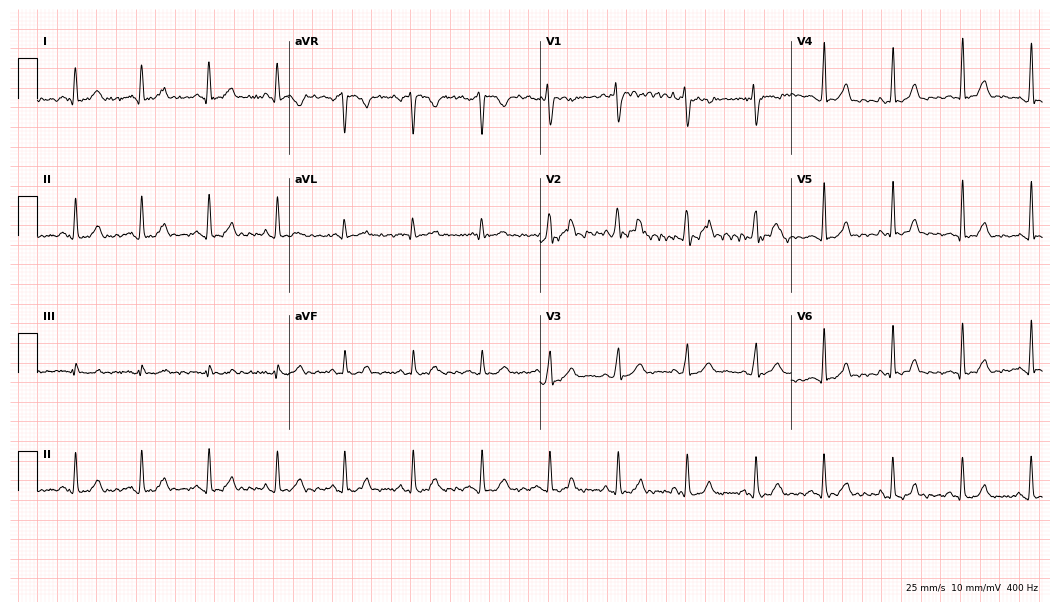
Resting 12-lead electrocardiogram (10.2-second recording at 400 Hz). Patient: a 32-year-old female. Read as a normal ECG.